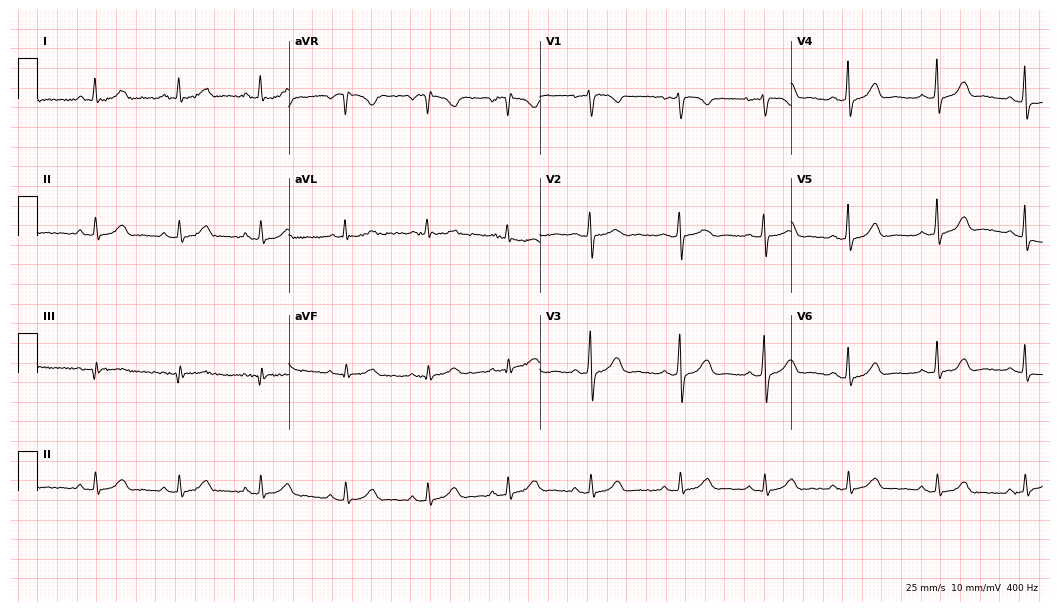
ECG (10.2-second recording at 400 Hz) — a female, 30 years old. Labelled as a normal ECG.